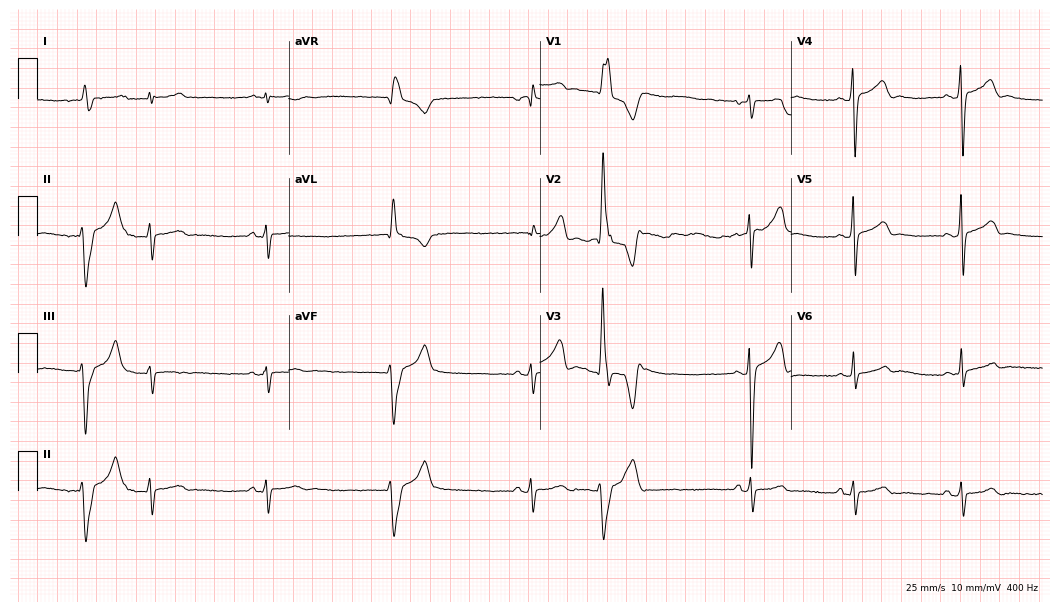
Standard 12-lead ECG recorded from a 17-year-old man (10.2-second recording at 400 Hz). None of these six findings is recorded: first-degree AV block, right bundle branch block, left bundle branch block, sinus bradycardia, atrial fibrillation, sinus tachycardia.